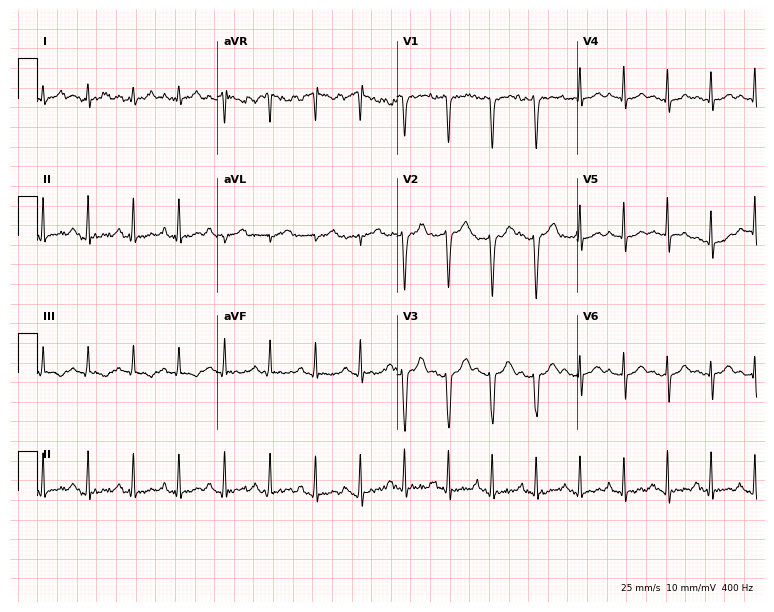
12-lead ECG from a female patient, 26 years old. Findings include sinus tachycardia (a sinus rate of 100 beats per minute or more).